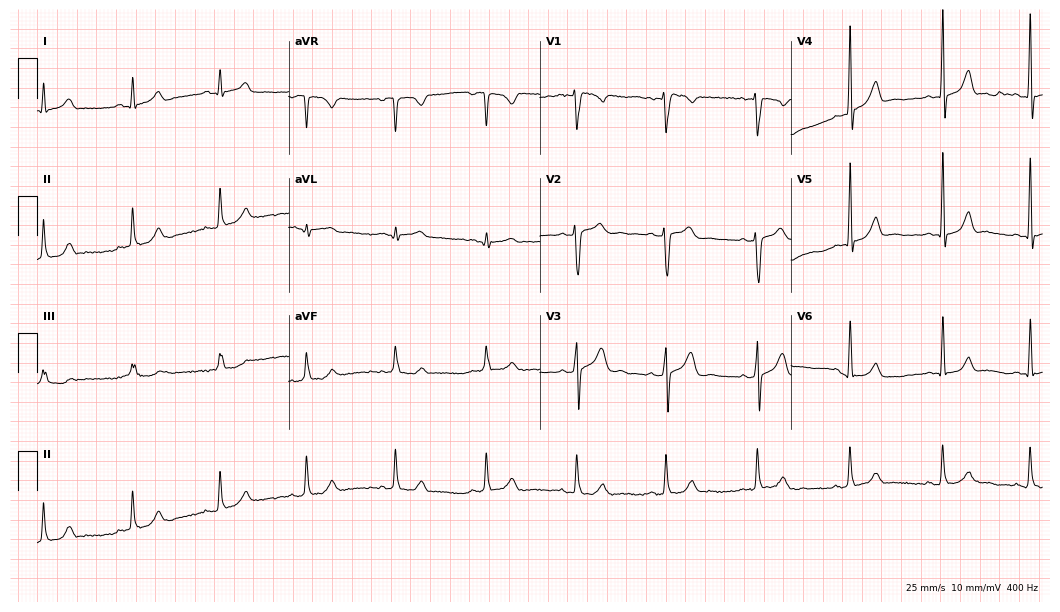
Electrocardiogram, a man, 36 years old. Of the six screened findings (first-degree AV block, right bundle branch block (RBBB), left bundle branch block (LBBB), sinus bradycardia, atrial fibrillation (AF), sinus tachycardia), none is recorded. Findings outside these six are not listed.